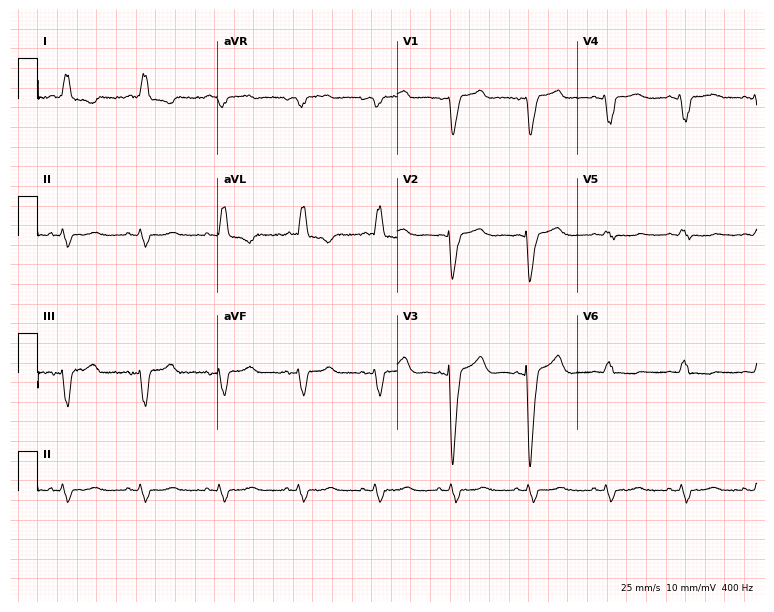
Electrocardiogram, a 56-year-old male. Interpretation includes left bundle branch block.